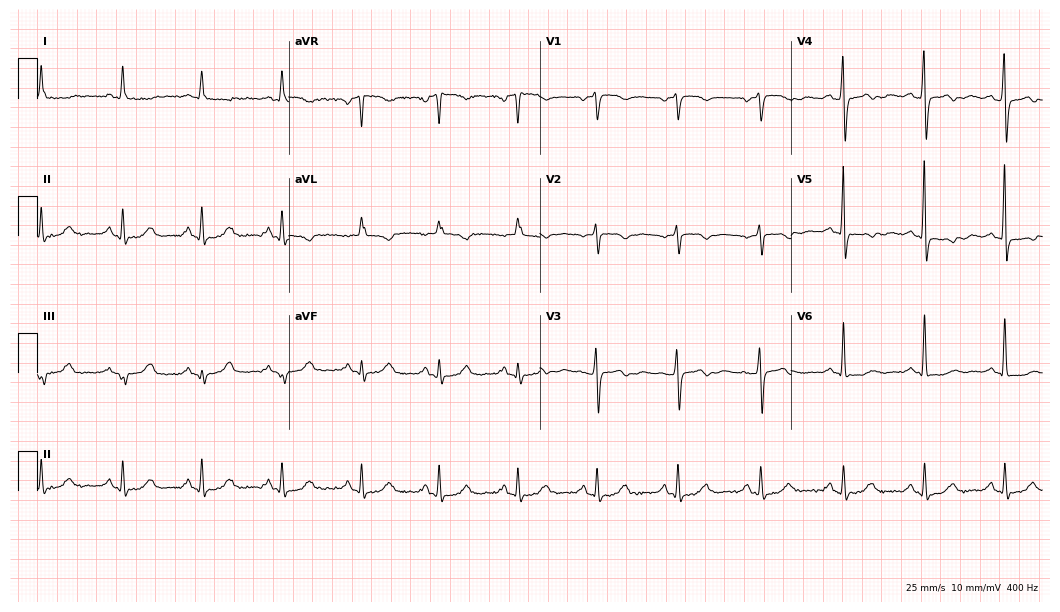
Electrocardiogram (10.2-second recording at 400 Hz), a woman, 57 years old. Of the six screened findings (first-degree AV block, right bundle branch block (RBBB), left bundle branch block (LBBB), sinus bradycardia, atrial fibrillation (AF), sinus tachycardia), none is recorded. Other findings, if any, are not listed.